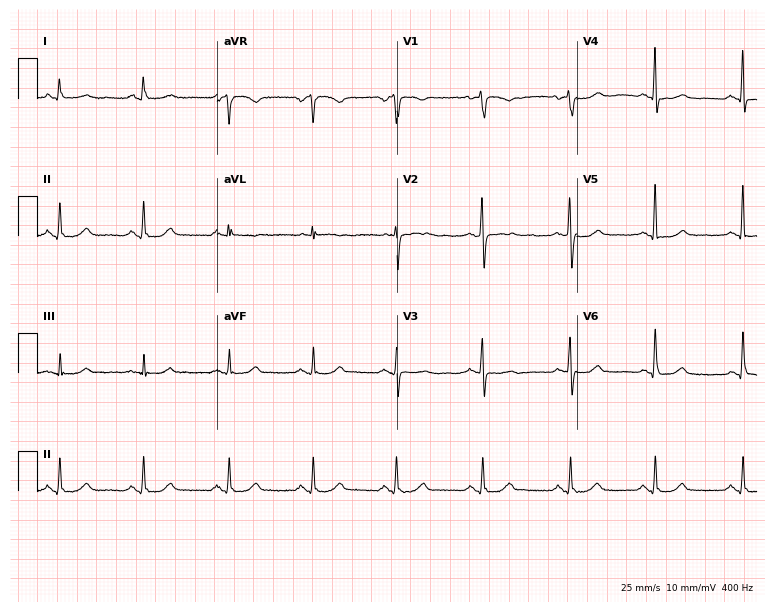
12-lead ECG from a woman, 50 years old. No first-degree AV block, right bundle branch block, left bundle branch block, sinus bradycardia, atrial fibrillation or sinus tachycardia recorded for this tracing. Findings outside these six are not listed.